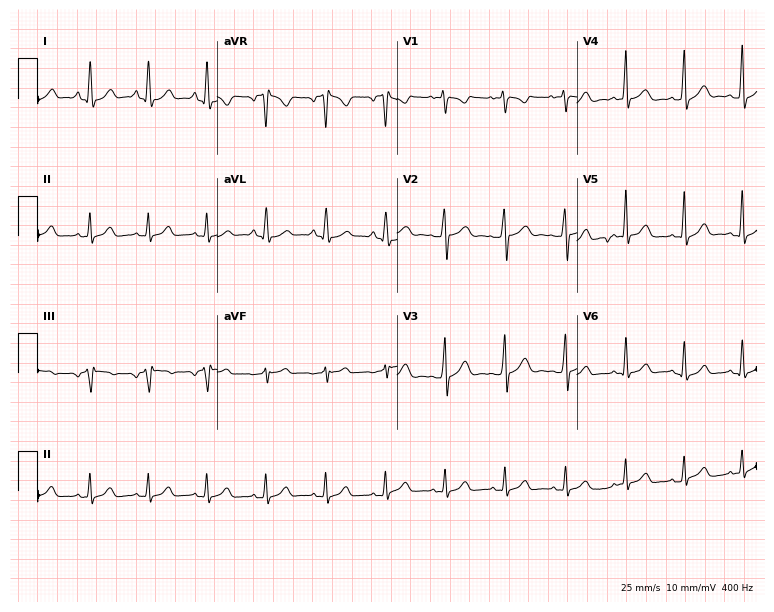
ECG — a 21-year-old female. Screened for six findings — first-degree AV block, right bundle branch block, left bundle branch block, sinus bradycardia, atrial fibrillation, sinus tachycardia — none is recorded.